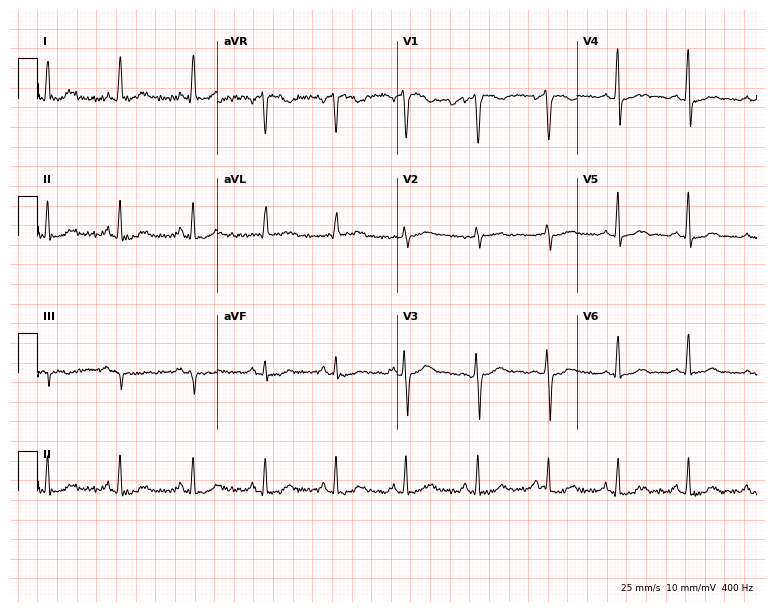
12-lead ECG from a female, 35 years old. Labelled as a normal ECG.